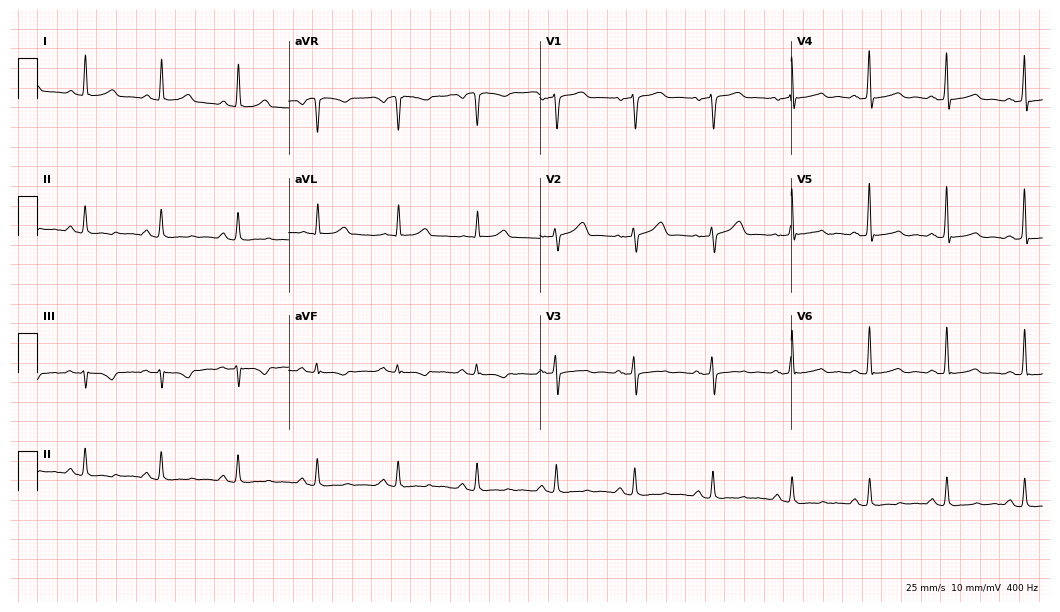
ECG (10.2-second recording at 400 Hz) — a female, 59 years old. Screened for six findings — first-degree AV block, right bundle branch block (RBBB), left bundle branch block (LBBB), sinus bradycardia, atrial fibrillation (AF), sinus tachycardia — none is recorded. Only these six findings were labelled.